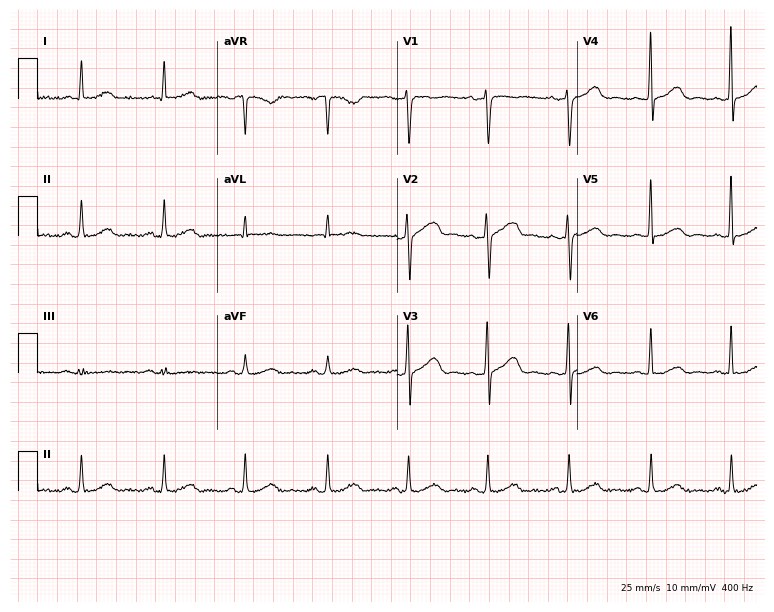
12-lead ECG from a 42-year-old female patient. No first-degree AV block, right bundle branch block (RBBB), left bundle branch block (LBBB), sinus bradycardia, atrial fibrillation (AF) or sinus tachycardia recorded for this tracing. Other findings, if any, are not listed.